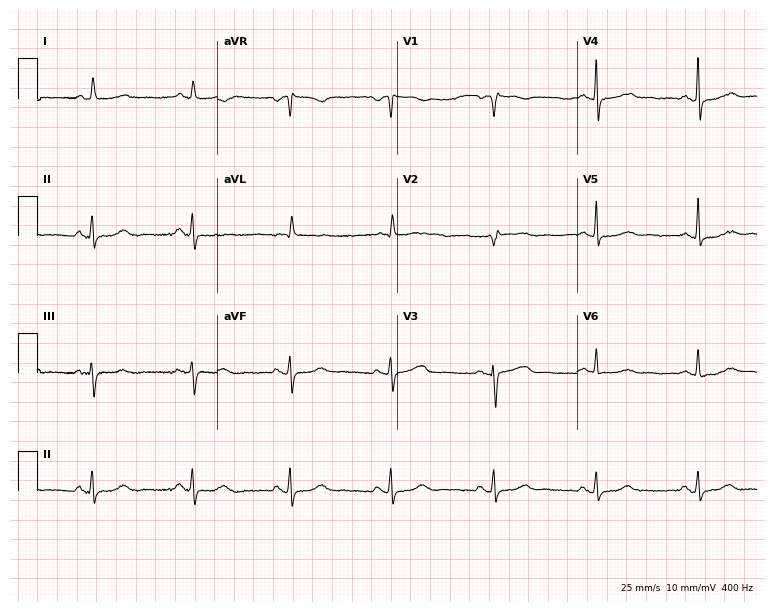
ECG — a female patient, 83 years old. Screened for six findings — first-degree AV block, right bundle branch block, left bundle branch block, sinus bradycardia, atrial fibrillation, sinus tachycardia — none is recorded.